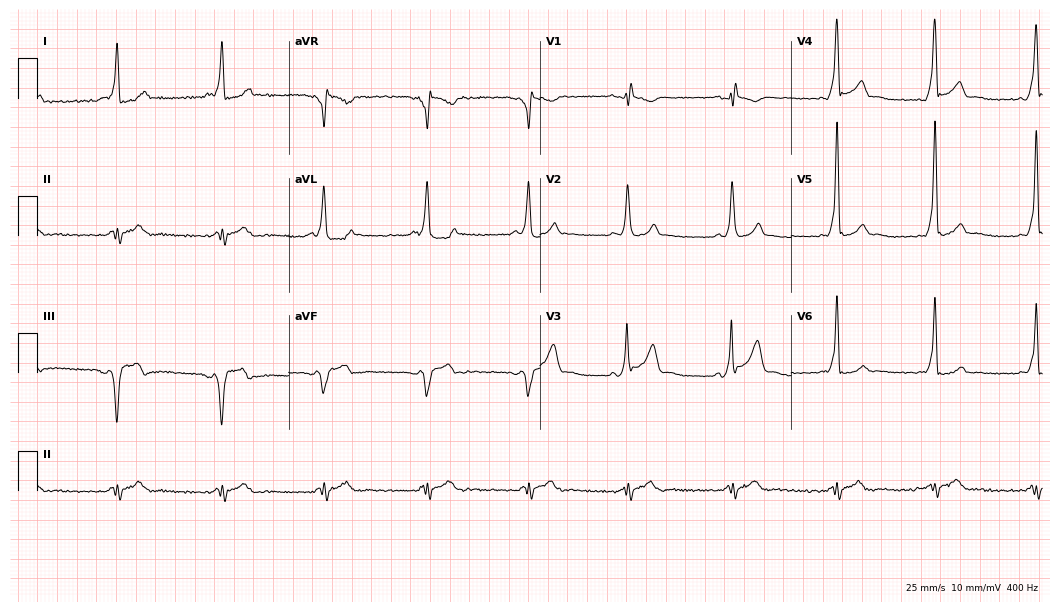
ECG (10.2-second recording at 400 Hz) — a 38-year-old male. Screened for six findings — first-degree AV block, right bundle branch block, left bundle branch block, sinus bradycardia, atrial fibrillation, sinus tachycardia — none is recorded. Only these six findings were labelled.